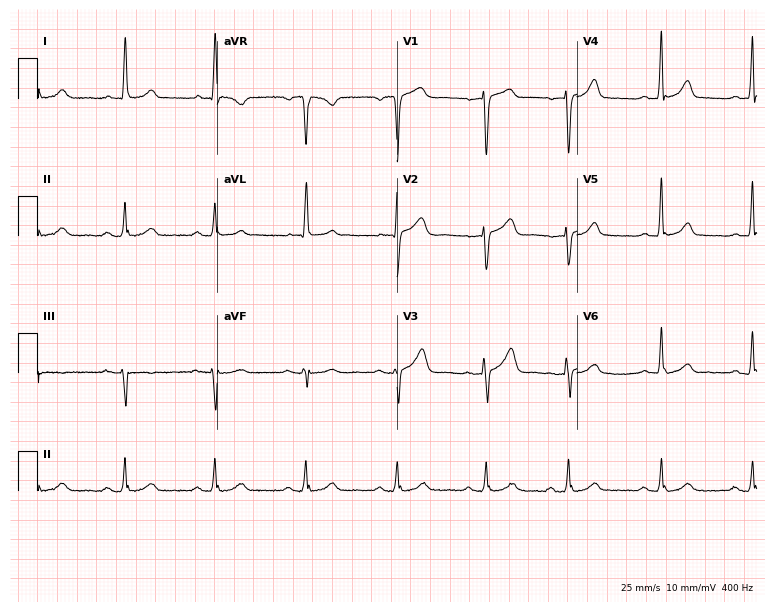
Electrocardiogram (7.3-second recording at 400 Hz), a female, 58 years old. Overall reading on record: normal ECG.